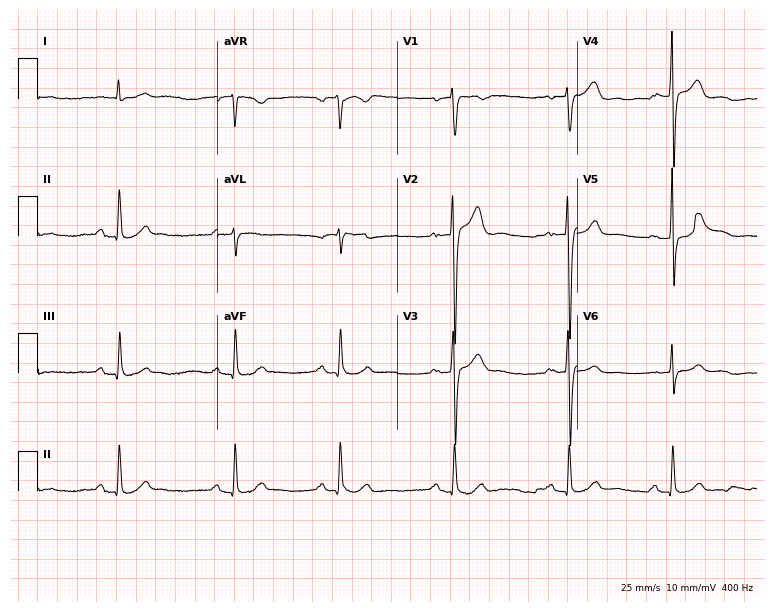
12-lead ECG from a male, 50 years old. Findings include first-degree AV block.